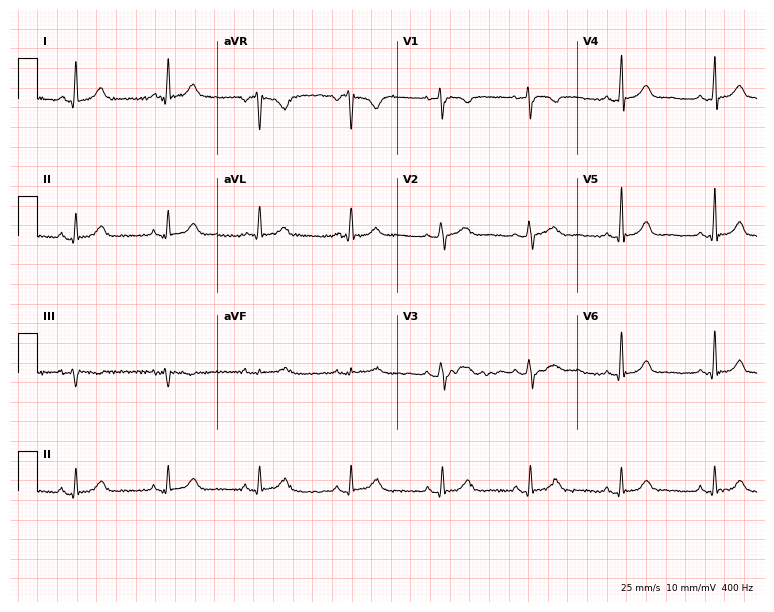
Electrocardiogram, a female, 63 years old. Overall reading on record: normal ECG.